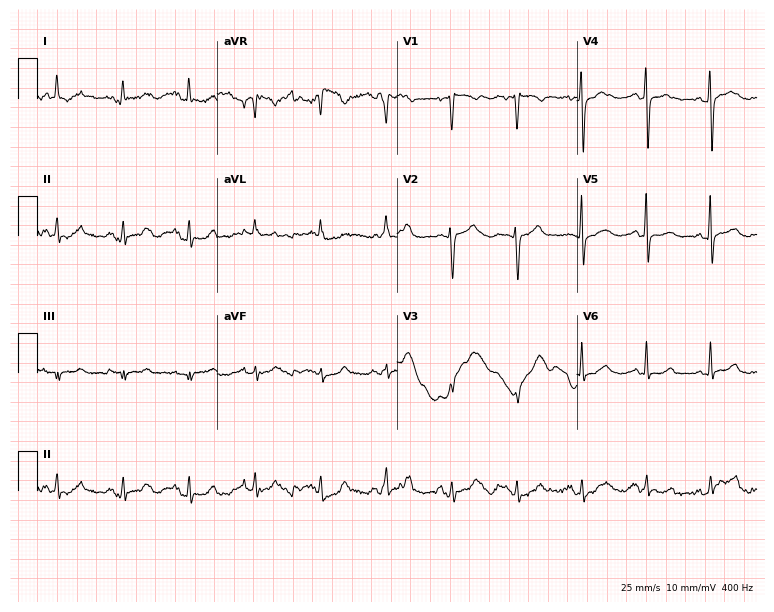
ECG — a woman, 63 years old. Labelled as a normal ECG.